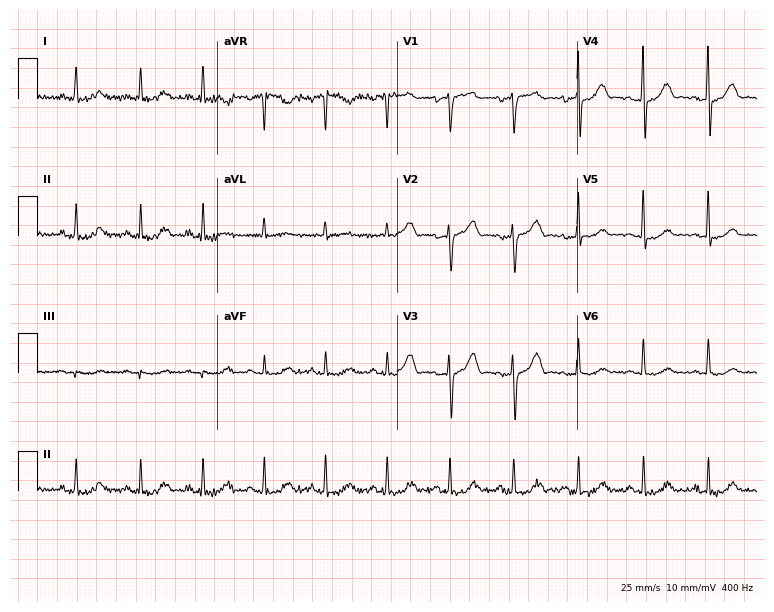
12-lead ECG from a female patient, 63 years old. Screened for six findings — first-degree AV block, right bundle branch block, left bundle branch block, sinus bradycardia, atrial fibrillation, sinus tachycardia — none is recorded. Only these six findings were labelled.